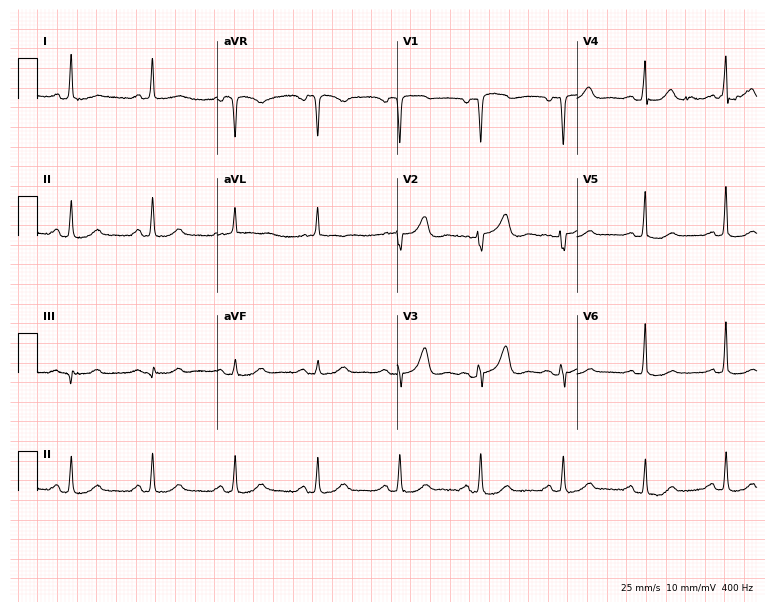
Standard 12-lead ECG recorded from a female, 62 years old. None of these six findings is recorded: first-degree AV block, right bundle branch block, left bundle branch block, sinus bradycardia, atrial fibrillation, sinus tachycardia.